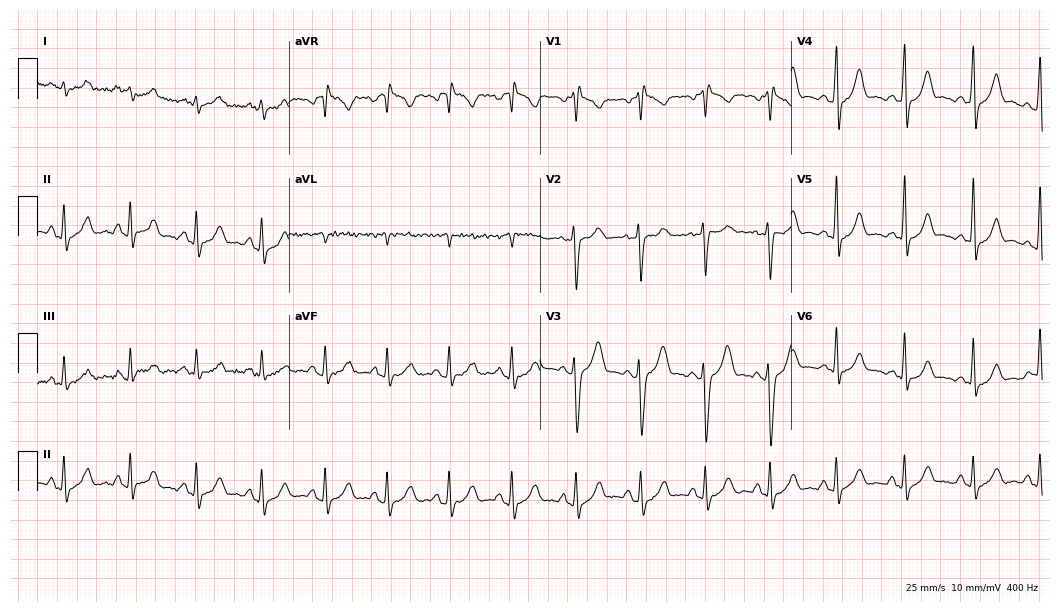
Electrocardiogram (10.2-second recording at 400 Hz), a 24-year-old male. Of the six screened findings (first-degree AV block, right bundle branch block, left bundle branch block, sinus bradycardia, atrial fibrillation, sinus tachycardia), none is recorded.